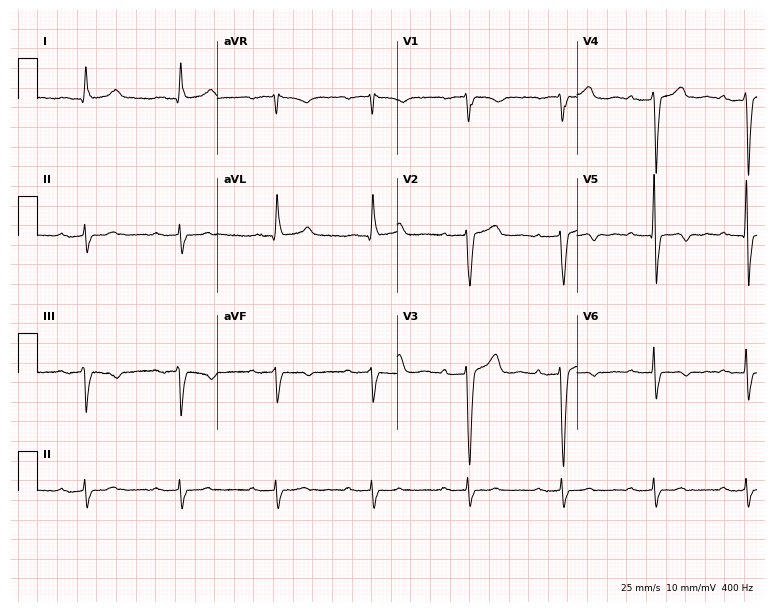
Resting 12-lead electrocardiogram. Patient: a 65-year-old male. The tracing shows first-degree AV block.